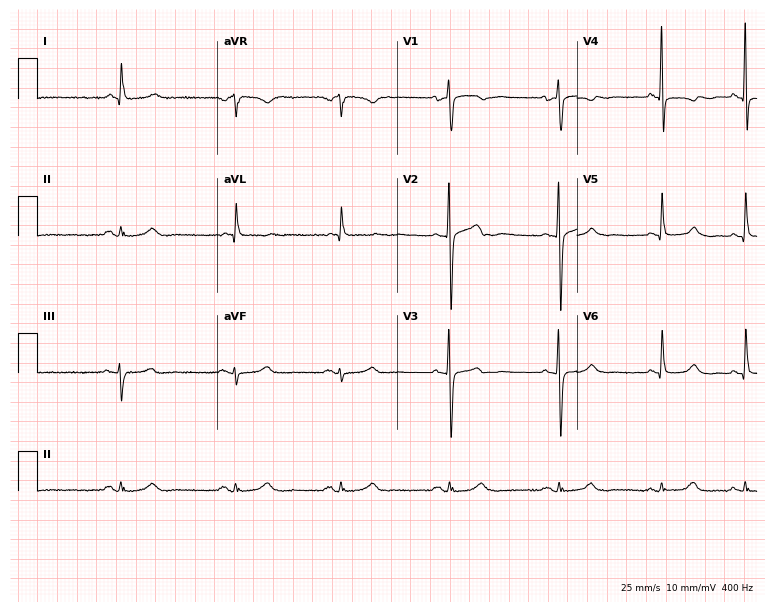
12-lead ECG from a 78-year-old female. Screened for six findings — first-degree AV block, right bundle branch block, left bundle branch block, sinus bradycardia, atrial fibrillation, sinus tachycardia — none is recorded. Other findings, if any, are not listed.